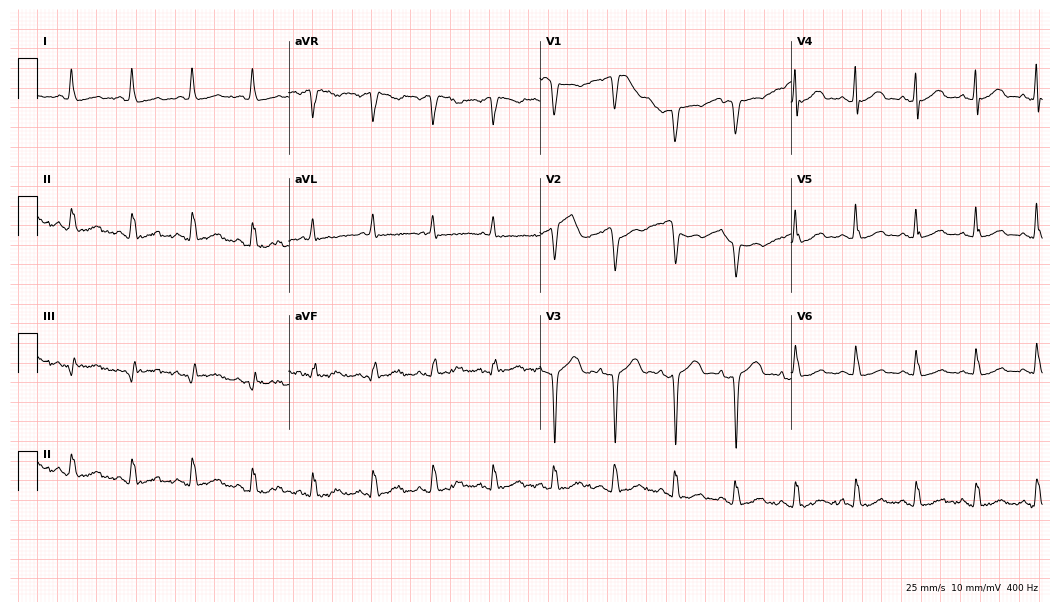
12-lead ECG from a woman, 79 years old. Screened for six findings — first-degree AV block, right bundle branch block, left bundle branch block, sinus bradycardia, atrial fibrillation, sinus tachycardia — none is recorded. Other findings, if any, are not listed.